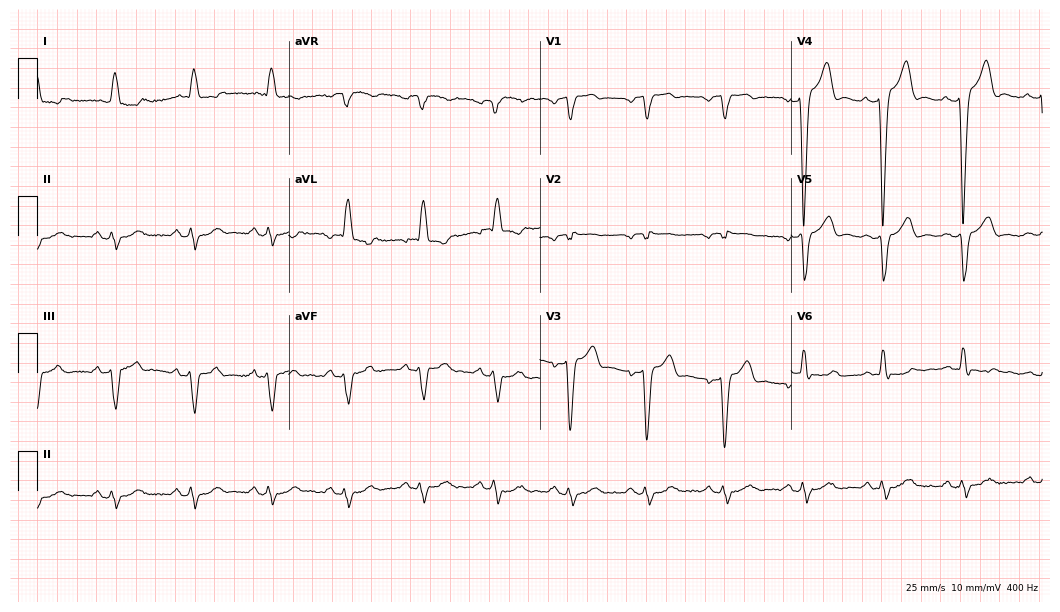
Electrocardiogram, a 75-year-old male patient. Interpretation includes left bundle branch block.